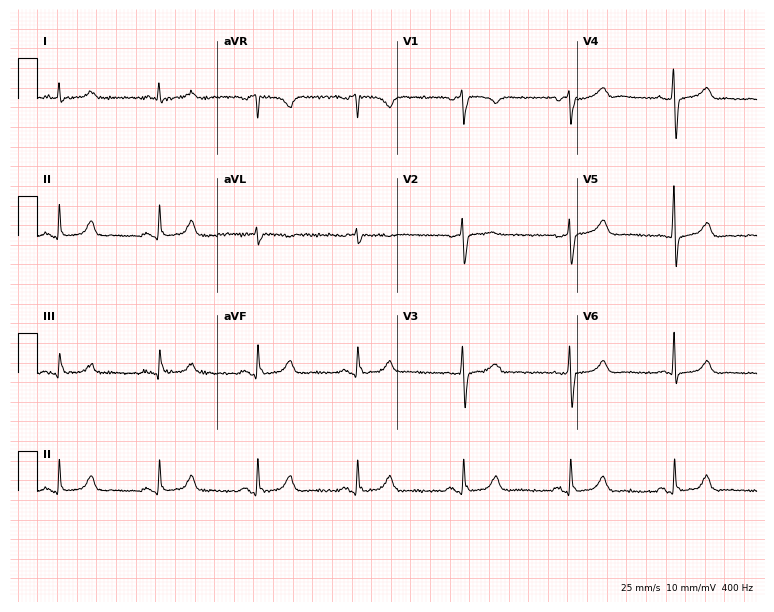
Electrocardiogram (7.3-second recording at 400 Hz), a male, 61 years old. Overall reading on record: normal ECG.